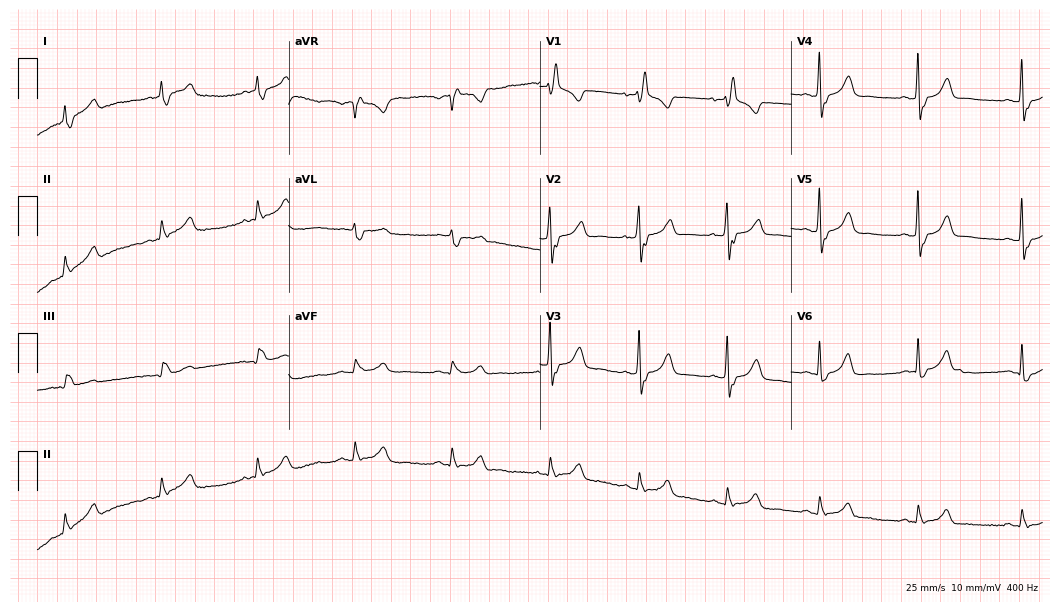
12-lead ECG from a 55-year-old male patient. Screened for six findings — first-degree AV block, right bundle branch block, left bundle branch block, sinus bradycardia, atrial fibrillation, sinus tachycardia — none is recorded. Other findings, if any, are not listed.